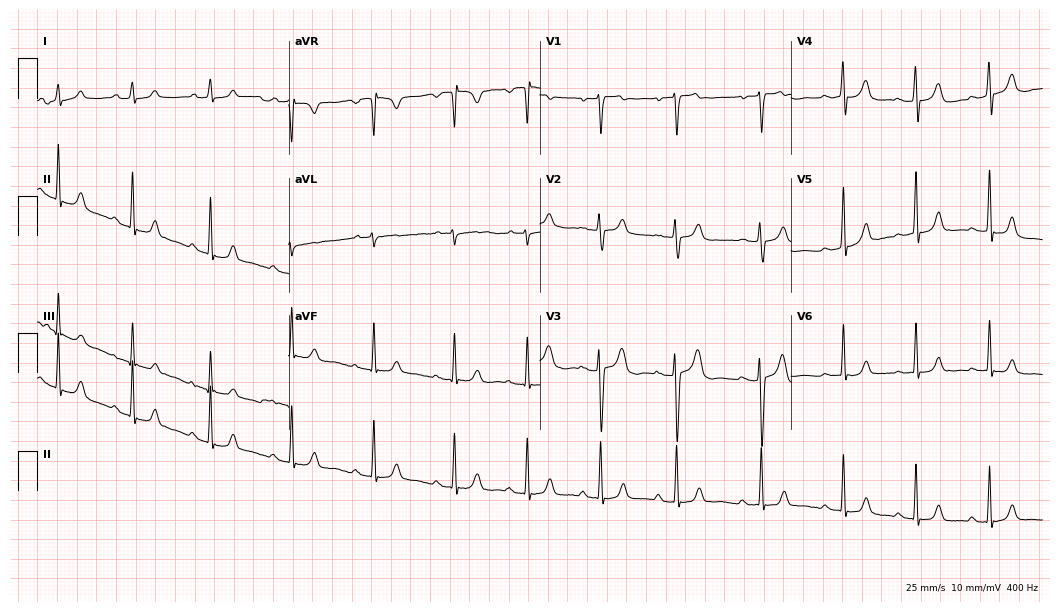
Electrocardiogram, a woman, 20 years old. Overall reading on record: normal ECG.